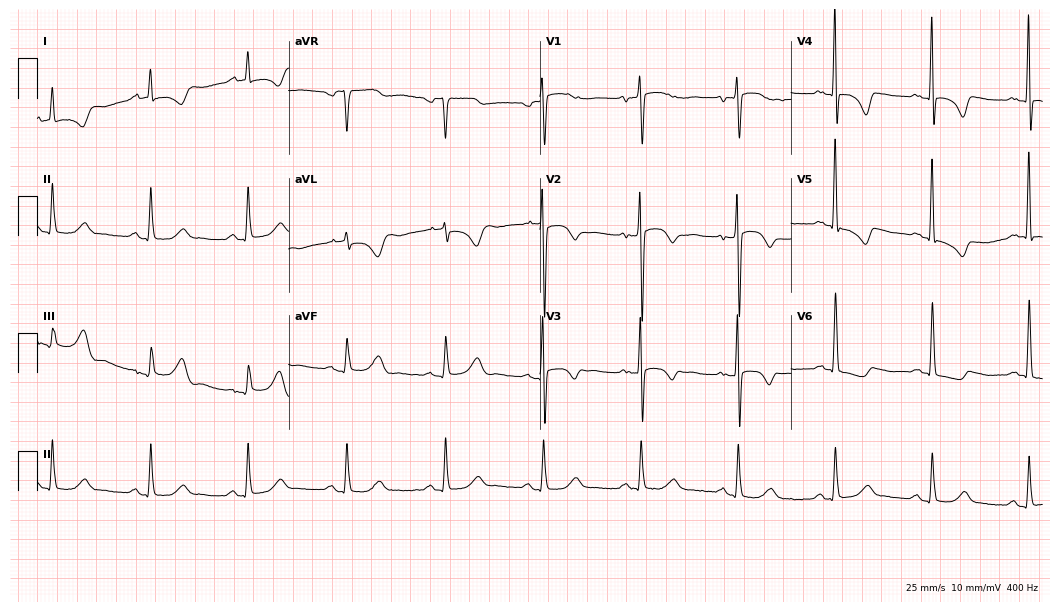
Electrocardiogram (10.2-second recording at 400 Hz), an 85-year-old female. Of the six screened findings (first-degree AV block, right bundle branch block, left bundle branch block, sinus bradycardia, atrial fibrillation, sinus tachycardia), none is recorded. Findings outside these six are not listed.